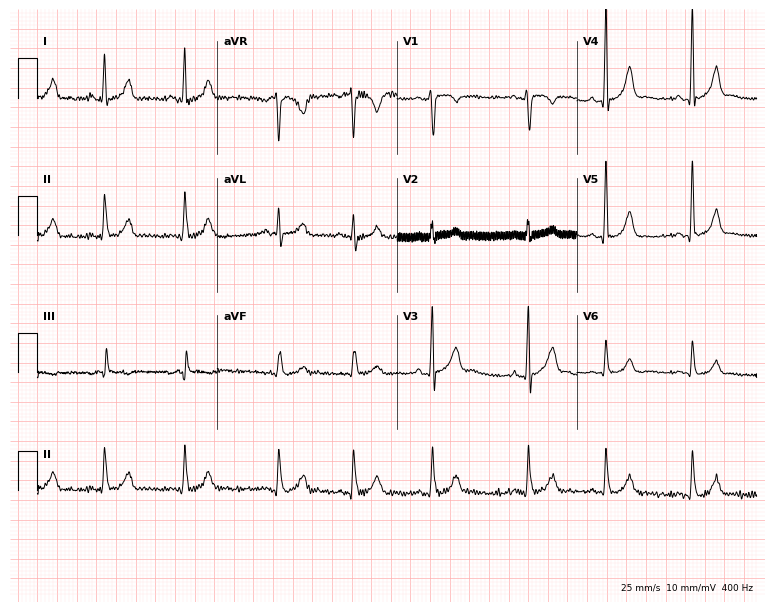
12-lead ECG from a man, 24 years old. Labelled as a normal ECG.